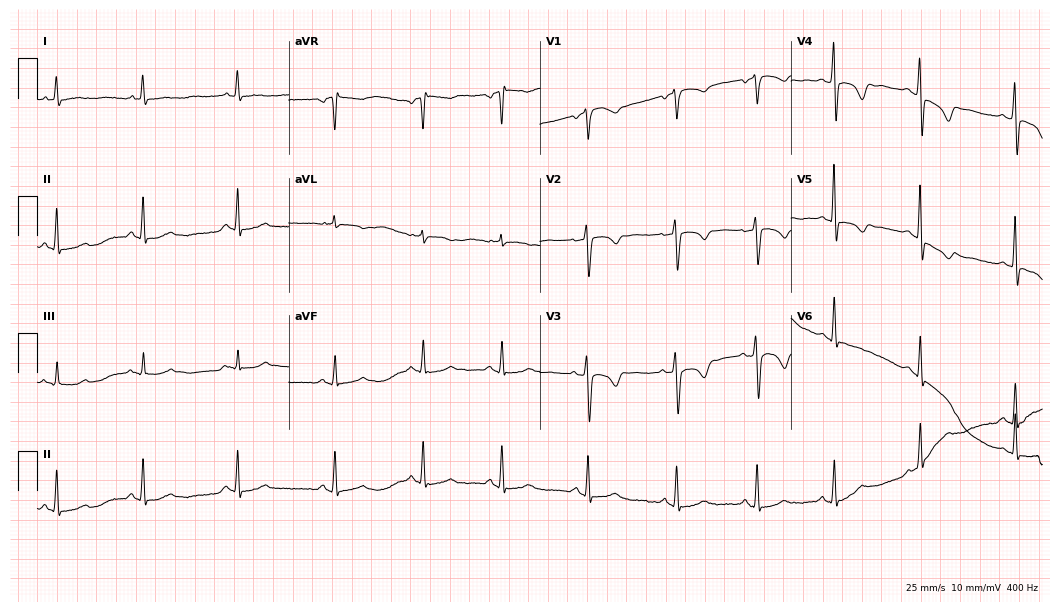
Resting 12-lead electrocardiogram (10.2-second recording at 400 Hz). Patient: a 56-year-old female. None of these six findings is recorded: first-degree AV block, right bundle branch block (RBBB), left bundle branch block (LBBB), sinus bradycardia, atrial fibrillation (AF), sinus tachycardia.